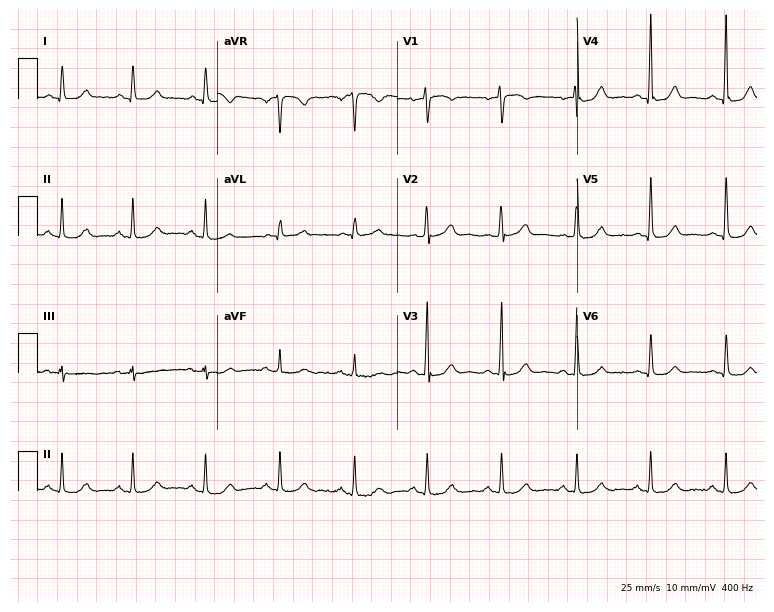
Electrocardiogram (7.3-second recording at 400 Hz), a female, 64 years old. Overall reading on record: normal ECG.